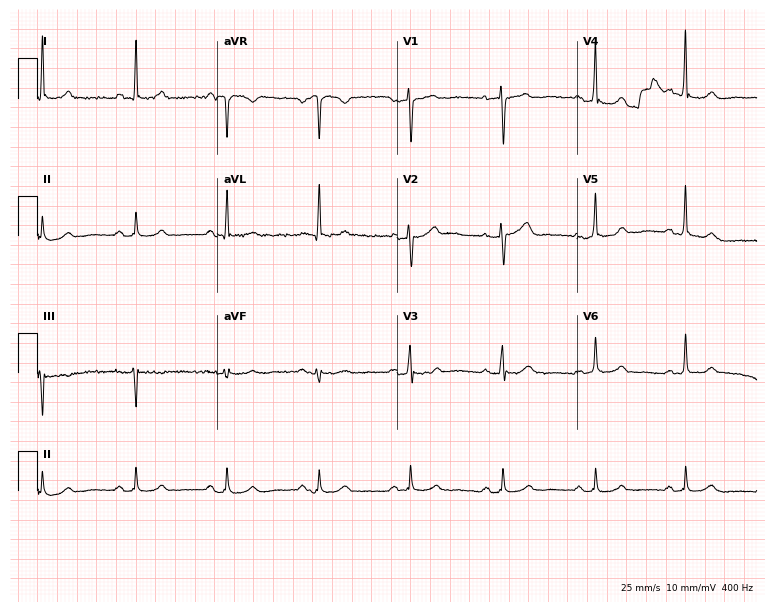
ECG (7.3-second recording at 400 Hz) — a 73-year-old female. Labelled as a normal ECG.